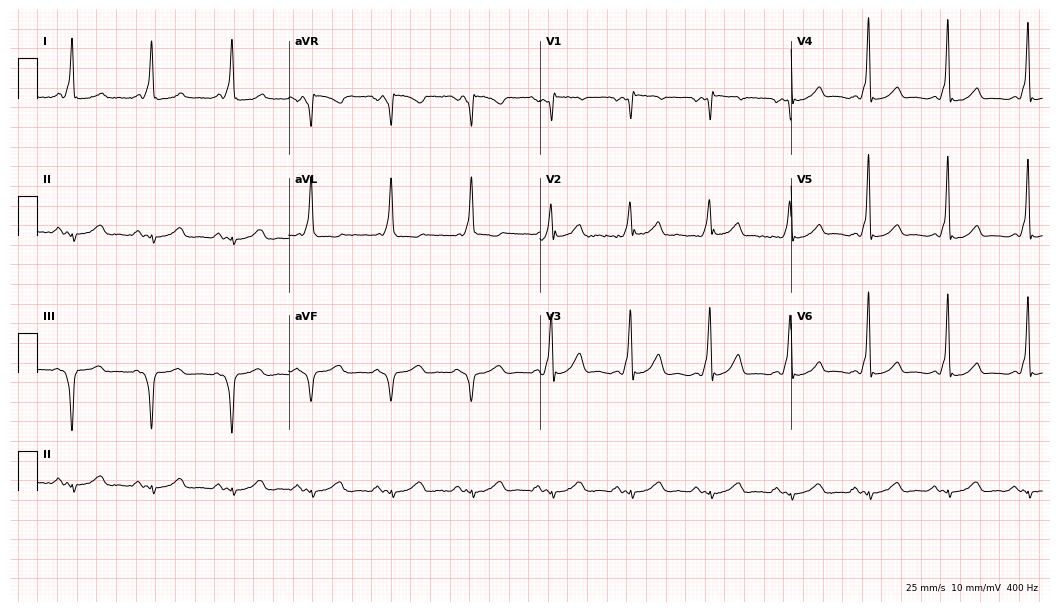
12-lead ECG from a woman, 66 years old. No first-degree AV block, right bundle branch block, left bundle branch block, sinus bradycardia, atrial fibrillation or sinus tachycardia recorded for this tracing. Only these six findings were labelled.